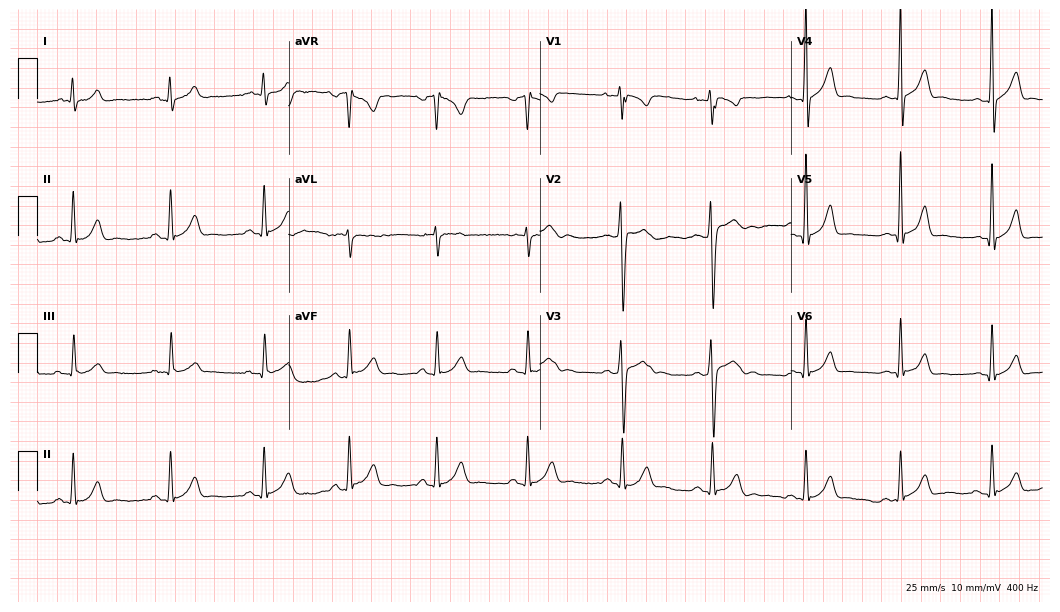
12-lead ECG from a man, 26 years old. Recorded interpretation: within normal limits.